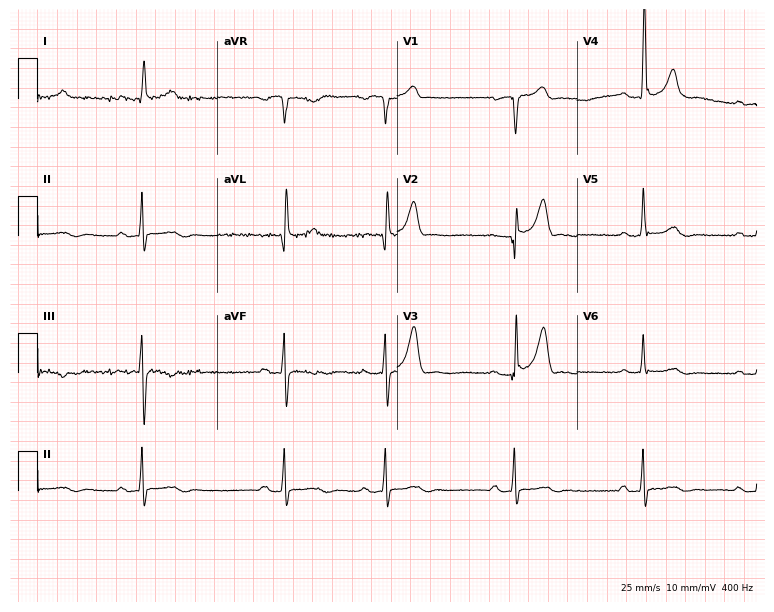
ECG — a male patient, 84 years old. Screened for six findings — first-degree AV block, right bundle branch block, left bundle branch block, sinus bradycardia, atrial fibrillation, sinus tachycardia — none is recorded.